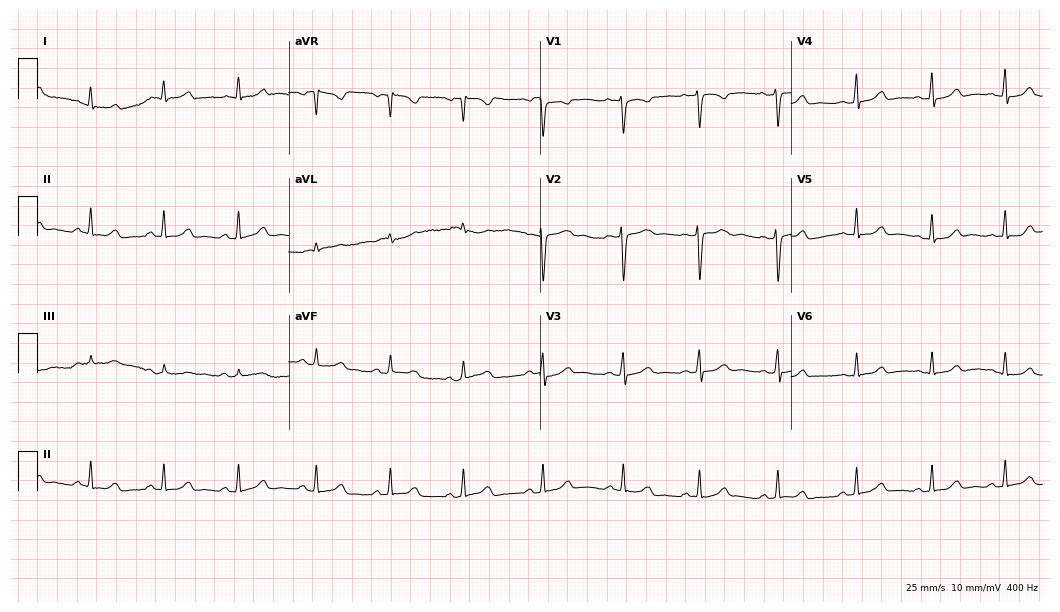
Electrocardiogram, a female patient, 24 years old. Overall reading on record: normal ECG.